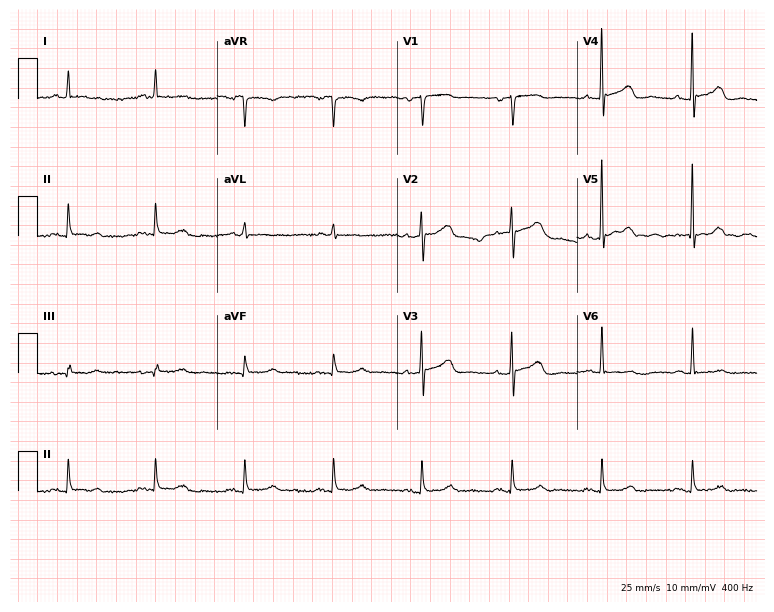
Standard 12-lead ECG recorded from an 84-year-old female patient (7.3-second recording at 400 Hz). None of these six findings is recorded: first-degree AV block, right bundle branch block, left bundle branch block, sinus bradycardia, atrial fibrillation, sinus tachycardia.